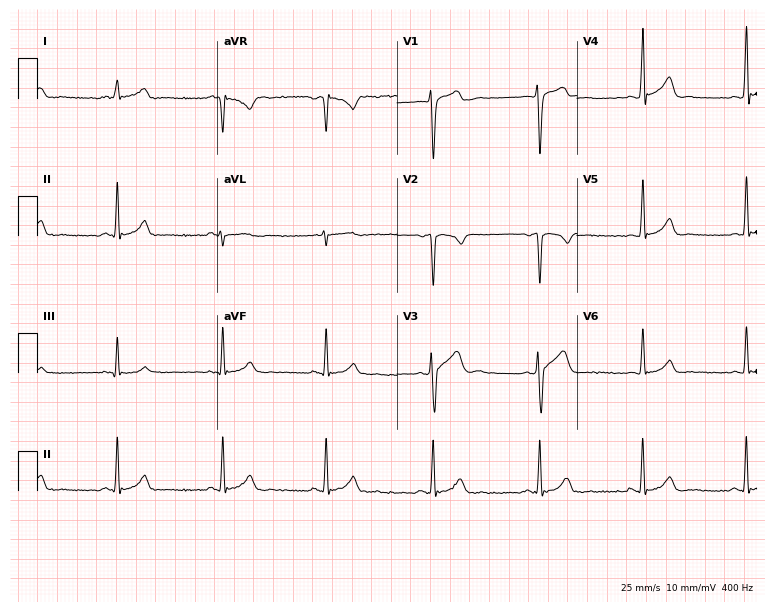
12-lead ECG (7.3-second recording at 400 Hz) from a 25-year-old man. Screened for six findings — first-degree AV block, right bundle branch block (RBBB), left bundle branch block (LBBB), sinus bradycardia, atrial fibrillation (AF), sinus tachycardia — none is recorded. Other findings, if any, are not listed.